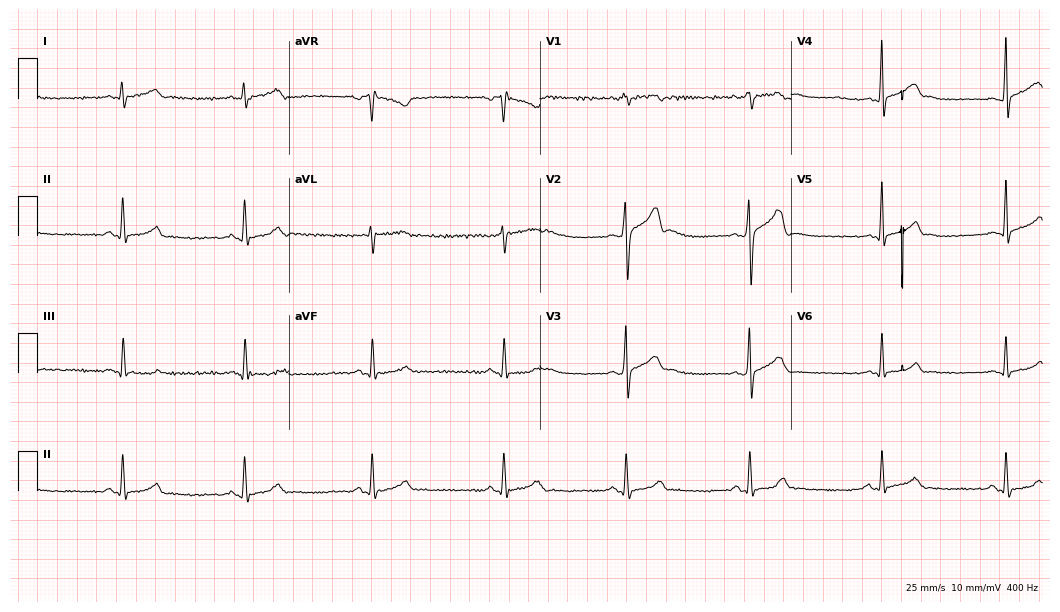
Electrocardiogram, a man, 24 years old. Interpretation includes sinus bradycardia (a sinus rate of 50 beats per minute or less).